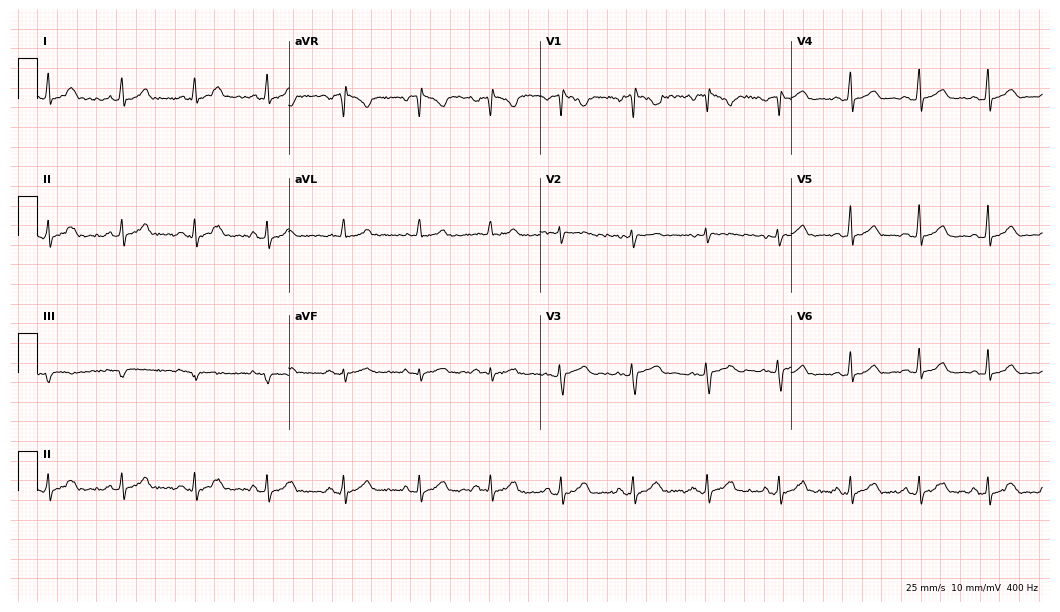
ECG — a female, 42 years old. Labelled as a normal ECG.